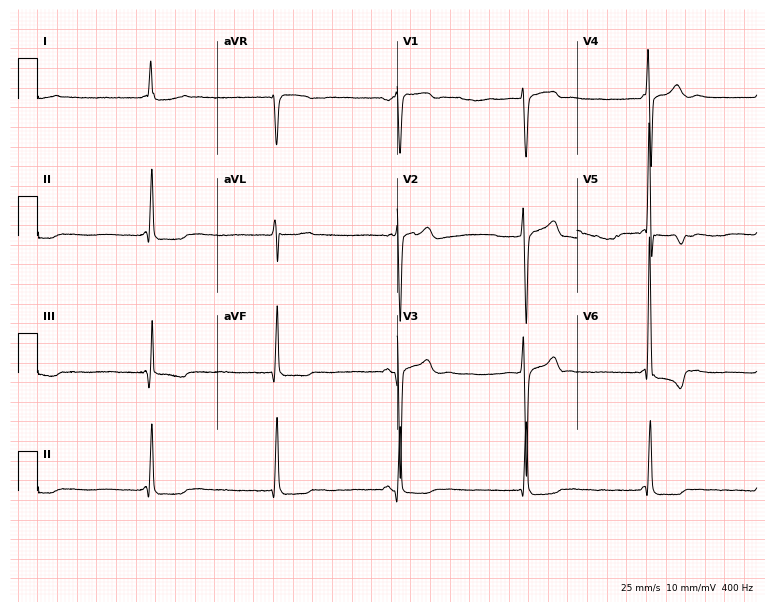
Electrocardiogram, a 60-year-old male patient. Of the six screened findings (first-degree AV block, right bundle branch block, left bundle branch block, sinus bradycardia, atrial fibrillation, sinus tachycardia), none is recorded.